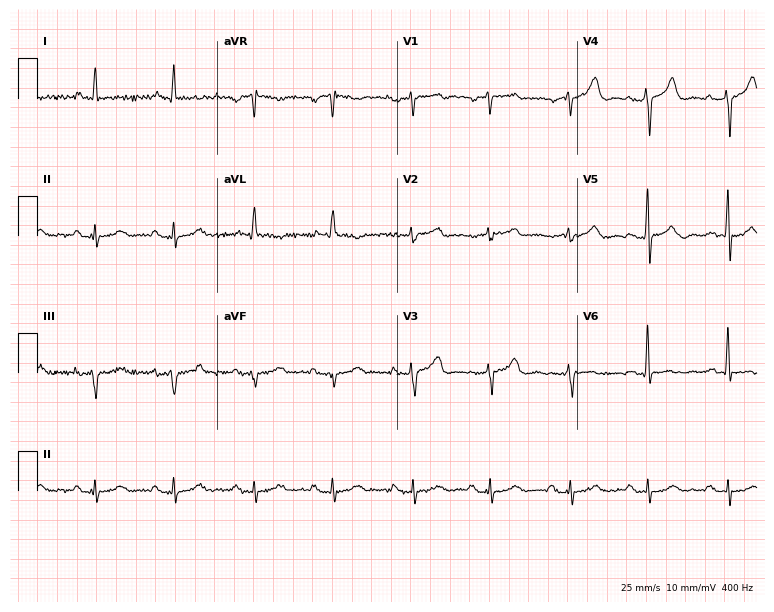
ECG — an 82-year-old man. Screened for six findings — first-degree AV block, right bundle branch block, left bundle branch block, sinus bradycardia, atrial fibrillation, sinus tachycardia — none is recorded.